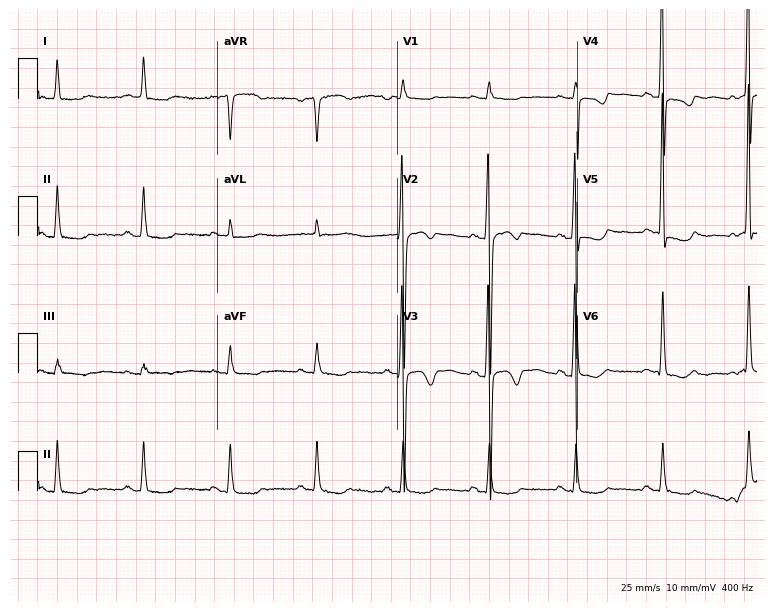
12-lead ECG (7.3-second recording at 400 Hz) from a woman, 74 years old. Screened for six findings — first-degree AV block, right bundle branch block, left bundle branch block, sinus bradycardia, atrial fibrillation, sinus tachycardia — none is recorded.